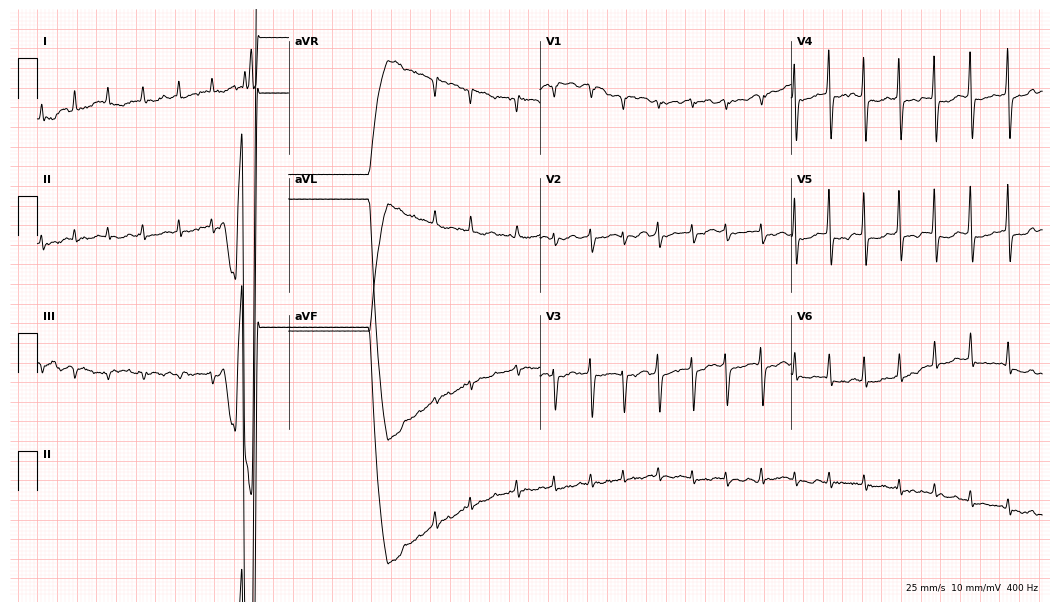
Standard 12-lead ECG recorded from an 83-year-old female patient (10.2-second recording at 400 Hz). The tracing shows atrial fibrillation (AF).